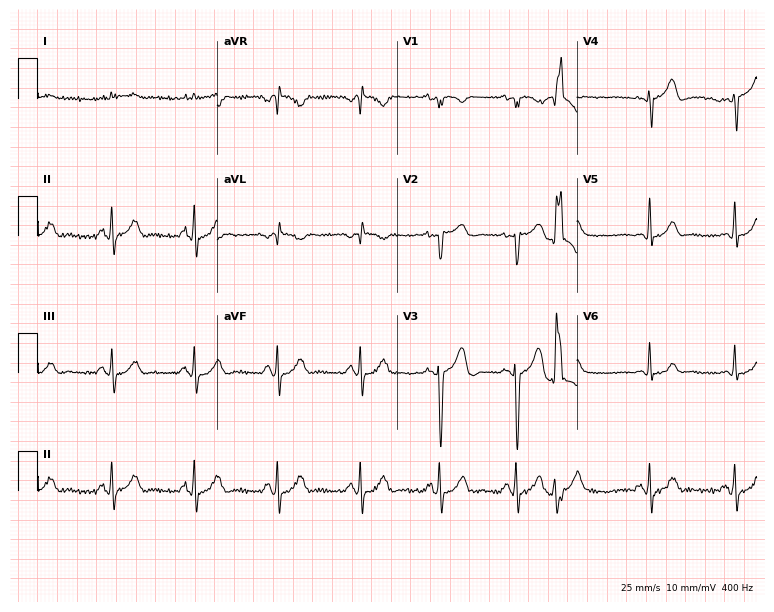
12-lead ECG from an 80-year-old man (7.3-second recording at 400 Hz). No first-degree AV block, right bundle branch block, left bundle branch block, sinus bradycardia, atrial fibrillation or sinus tachycardia recorded for this tracing. Only these six findings were labelled.